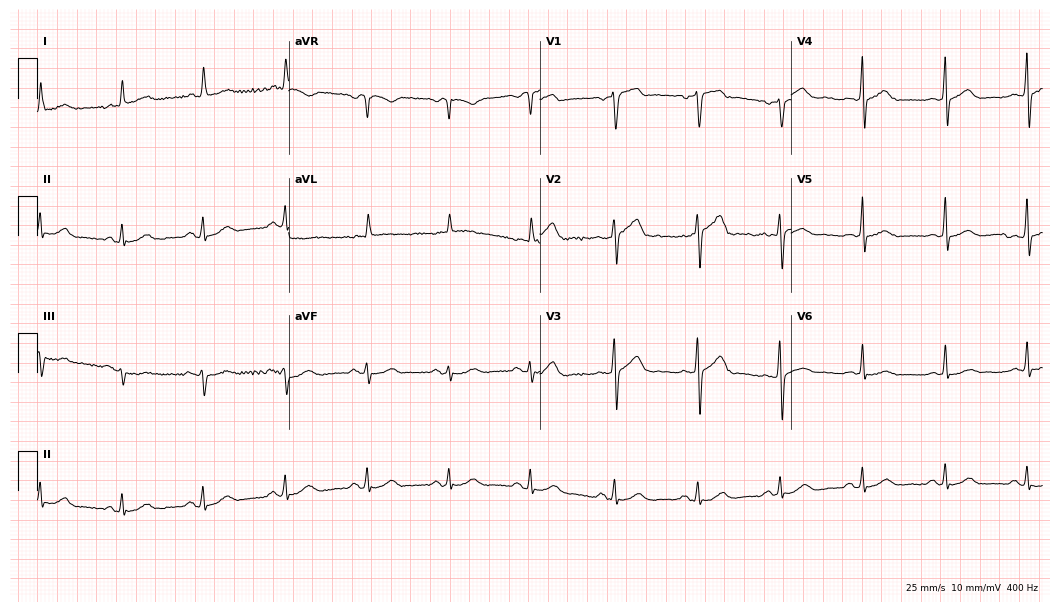
Electrocardiogram, a male, 69 years old. Overall reading on record: normal ECG.